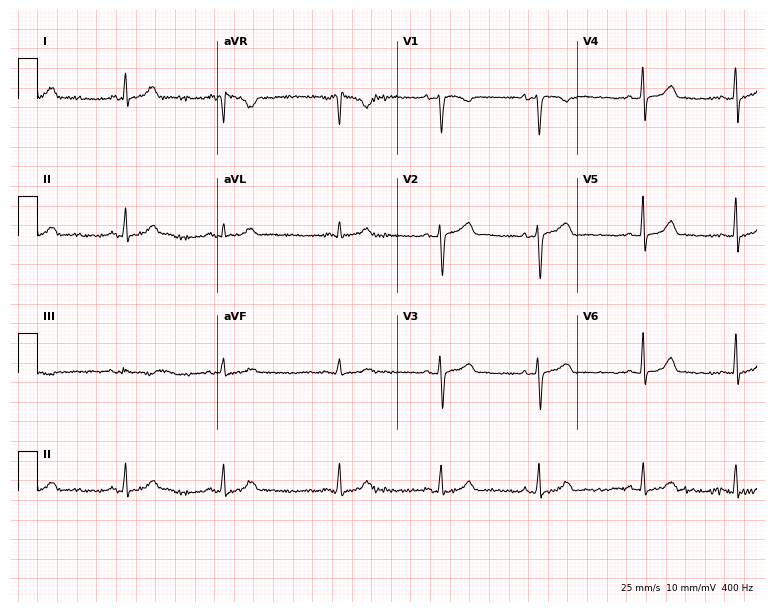
Standard 12-lead ECG recorded from a man, 21 years old (7.3-second recording at 400 Hz). None of these six findings is recorded: first-degree AV block, right bundle branch block (RBBB), left bundle branch block (LBBB), sinus bradycardia, atrial fibrillation (AF), sinus tachycardia.